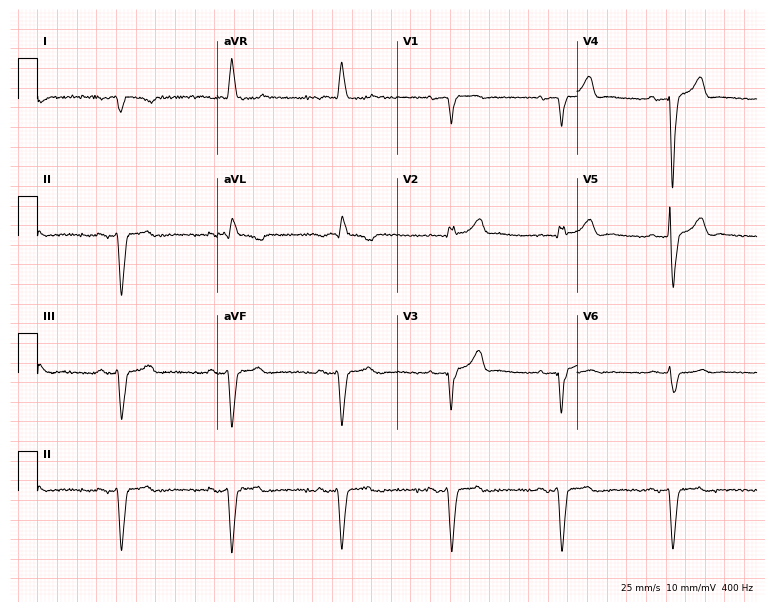
Electrocardiogram (7.3-second recording at 400 Hz), a man, 83 years old. Of the six screened findings (first-degree AV block, right bundle branch block, left bundle branch block, sinus bradycardia, atrial fibrillation, sinus tachycardia), none is recorded.